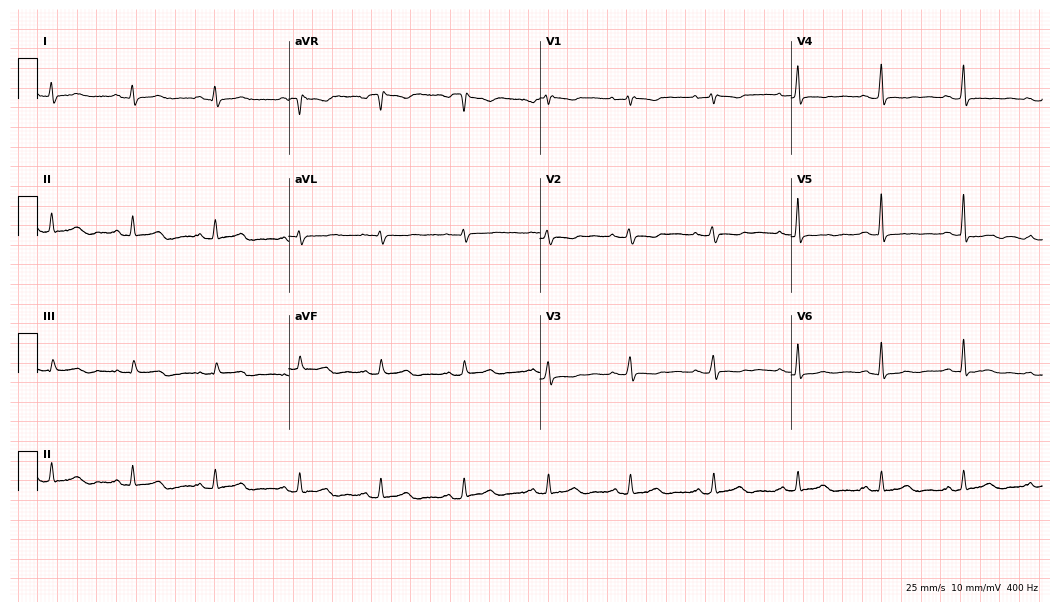
12-lead ECG from a female, 40 years old. Recorded interpretation: within normal limits.